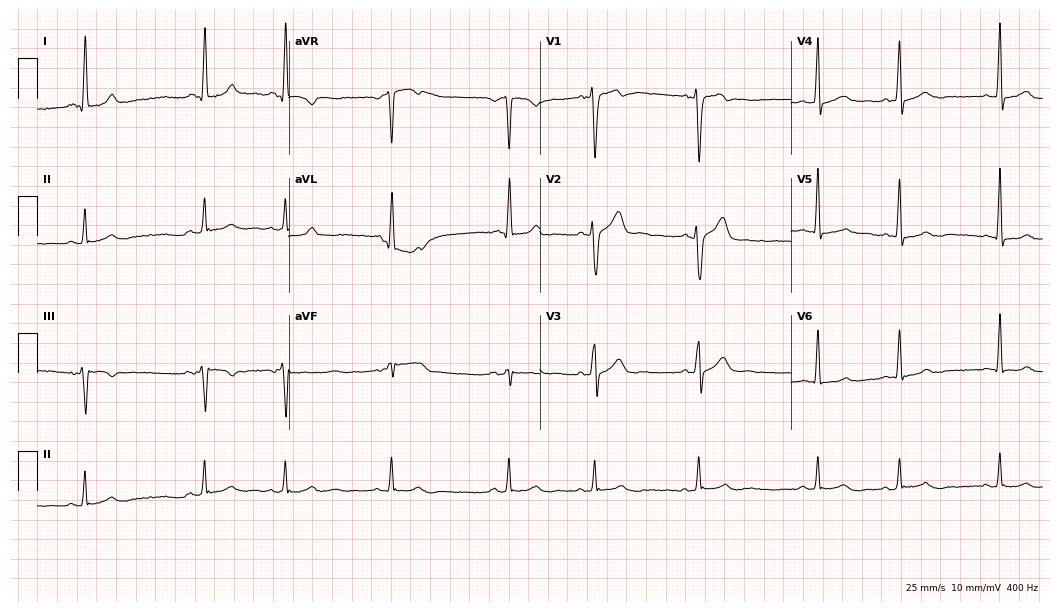
12-lead ECG (10.2-second recording at 400 Hz) from a 46-year-old male patient. Screened for six findings — first-degree AV block, right bundle branch block, left bundle branch block, sinus bradycardia, atrial fibrillation, sinus tachycardia — none is recorded. Only these six findings were labelled.